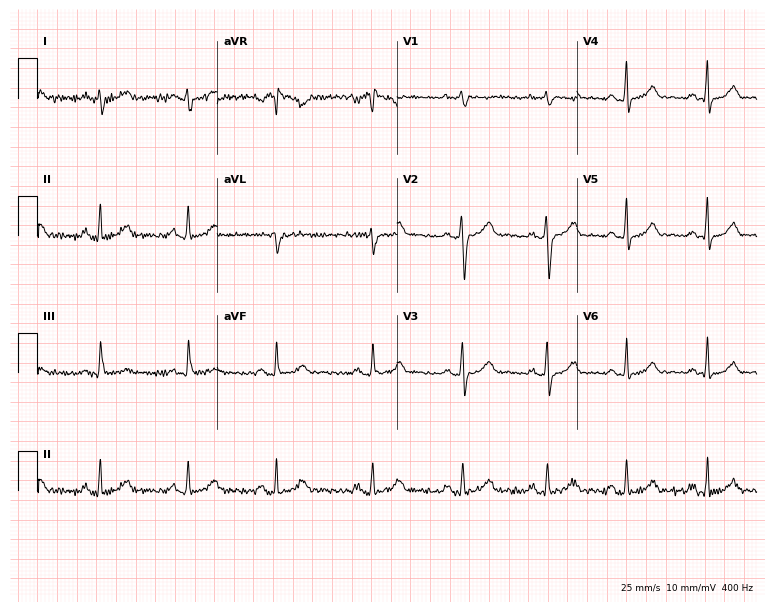
12-lead ECG from a 27-year-old female patient. No first-degree AV block, right bundle branch block, left bundle branch block, sinus bradycardia, atrial fibrillation or sinus tachycardia recorded for this tracing. Only these six findings were labelled.